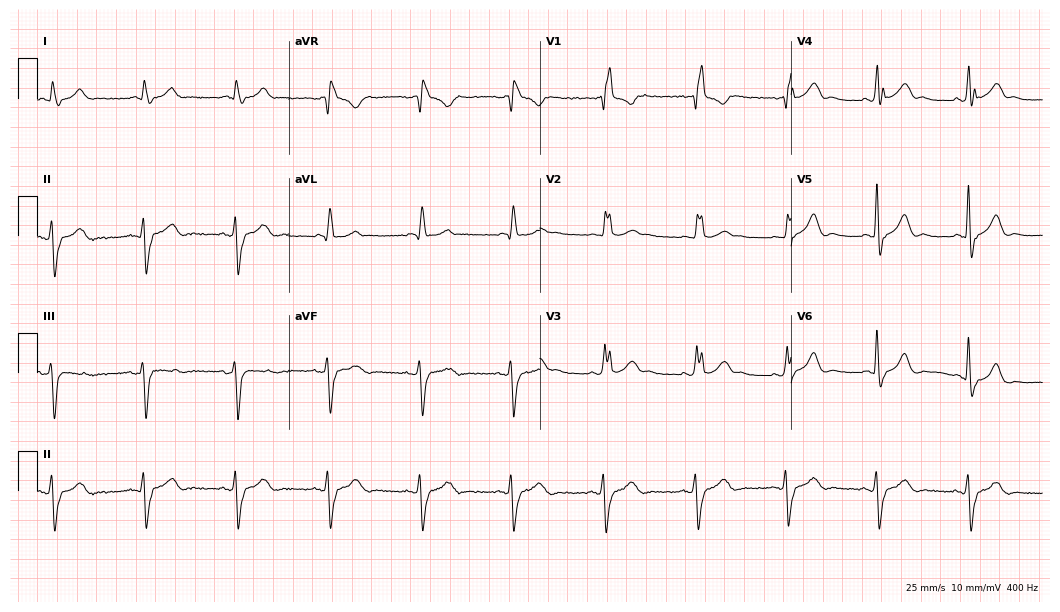
Standard 12-lead ECG recorded from a male patient, 73 years old. The tracing shows right bundle branch block (RBBB).